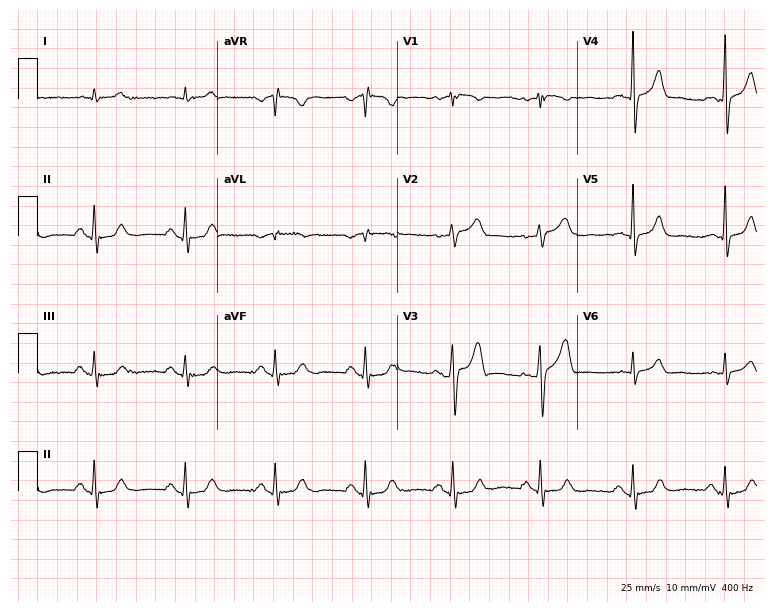
Standard 12-lead ECG recorded from a 78-year-old male patient (7.3-second recording at 400 Hz). None of these six findings is recorded: first-degree AV block, right bundle branch block, left bundle branch block, sinus bradycardia, atrial fibrillation, sinus tachycardia. Other findings, if any, are not listed.